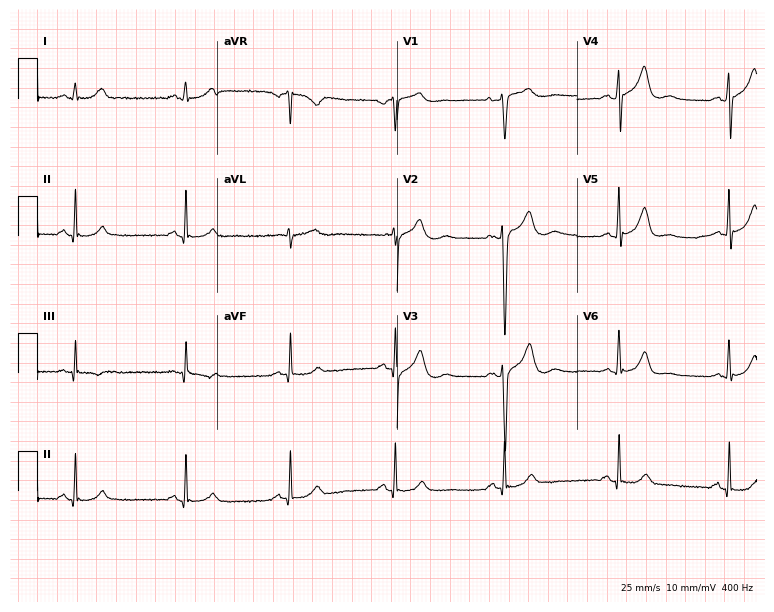
Resting 12-lead electrocardiogram. Patient: a 51-year-old male. None of these six findings is recorded: first-degree AV block, right bundle branch block, left bundle branch block, sinus bradycardia, atrial fibrillation, sinus tachycardia. Findings outside these six are not listed.